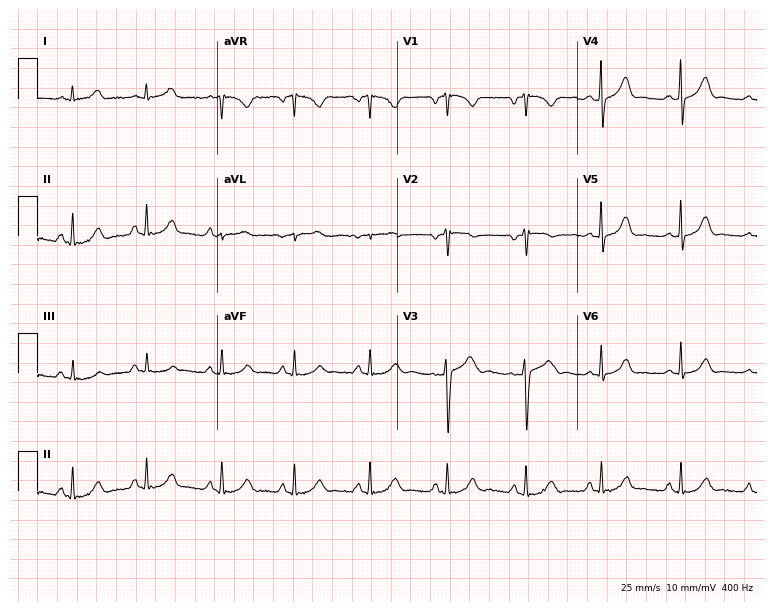
12-lead ECG (7.3-second recording at 400 Hz) from a 27-year-old female. Labelled as a normal ECG.